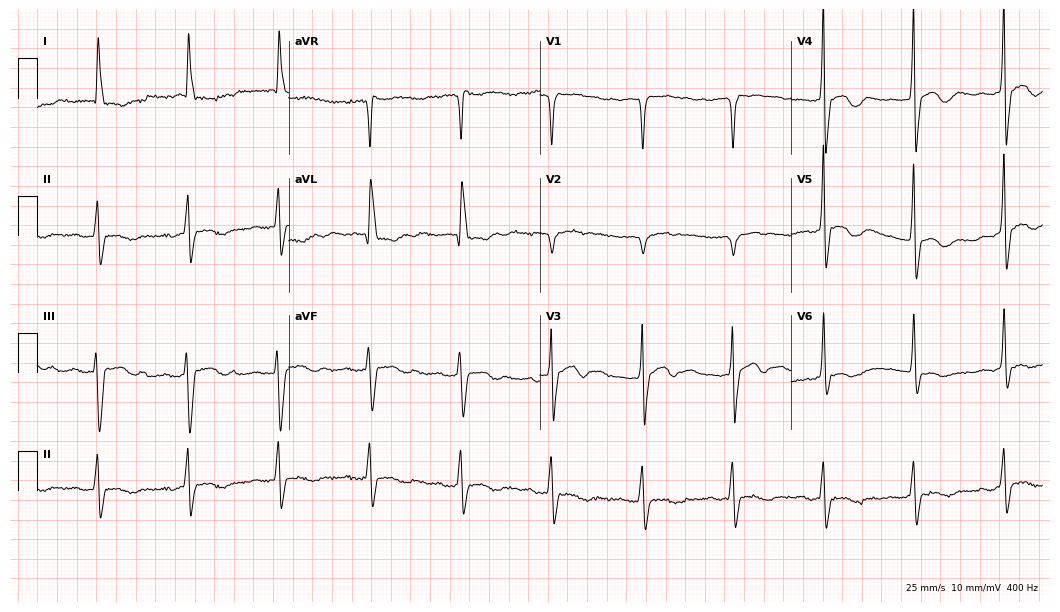
Resting 12-lead electrocardiogram. Patient: an 84-year-old female. None of these six findings is recorded: first-degree AV block, right bundle branch block, left bundle branch block, sinus bradycardia, atrial fibrillation, sinus tachycardia.